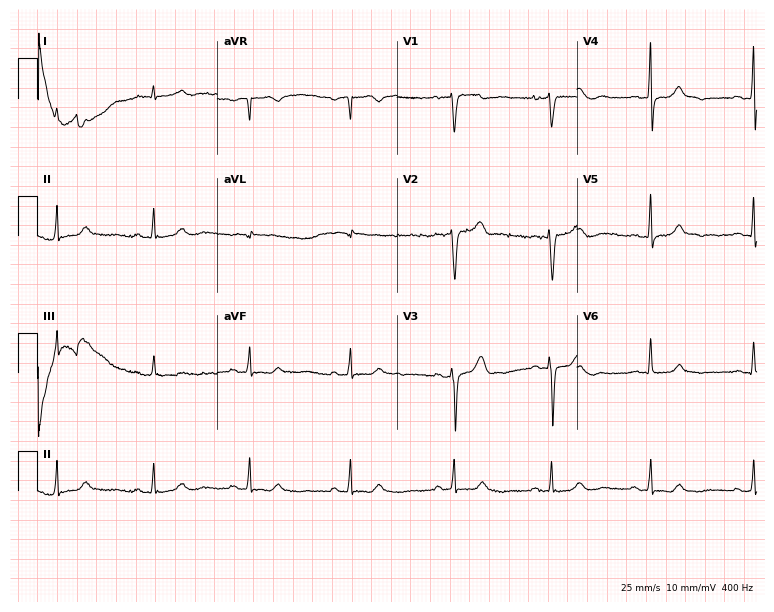
ECG — a female, 51 years old. Screened for six findings — first-degree AV block, right bundle branch block (RBBB), left bundle branch block (LBBB), sinus bradycardia, atrial fibrillation (AF), sinus tachycardia — none is recorded. Only these six findings were labelled.